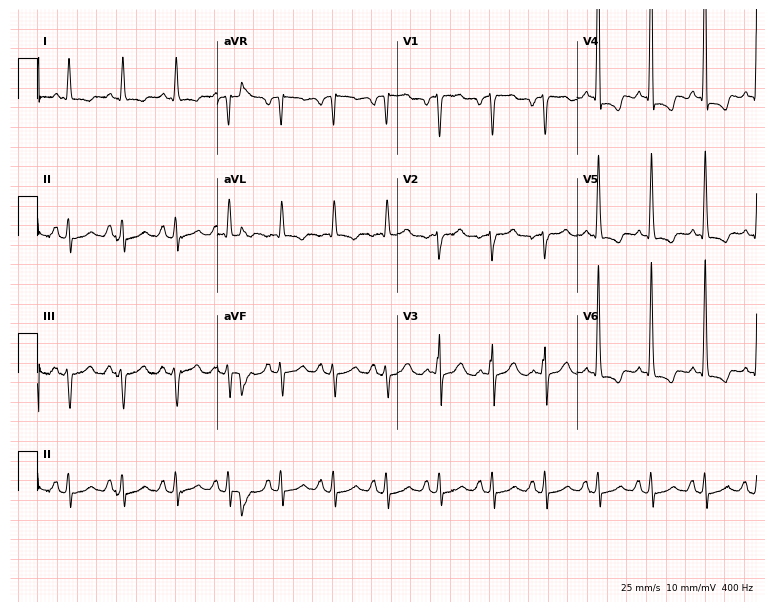
12-lead ECG from a woman, 60 years old. Shows sinus tachycardia (a sinus rate of 100 beats per minute or more).